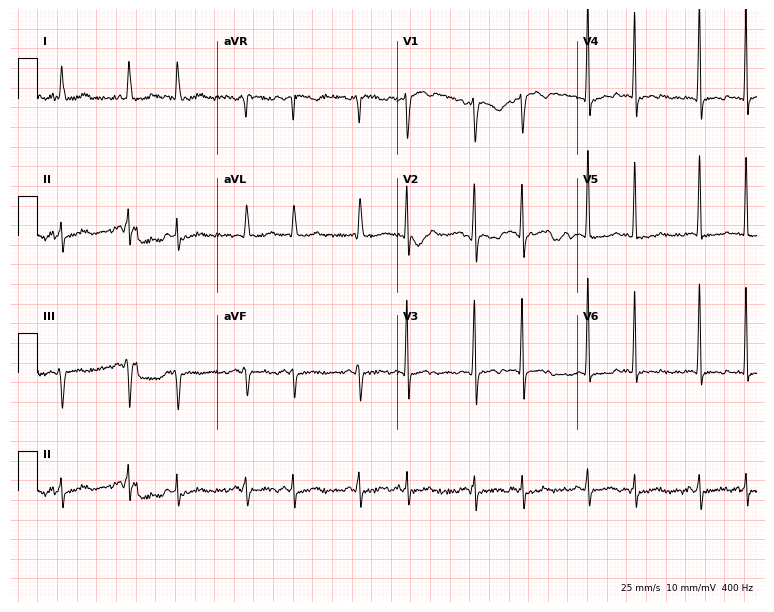
Resting 12-lead electrocardiogram (7.3-second recording at 400 Hz). Patient: a female, 49 years old. None of these six findings is recorded: first-degree AV block, right bundle branch block (RBBB), left bundle branch block (LBBB), sinus bradycardia, atrial fibrillation (AF), sinus tachycardia.